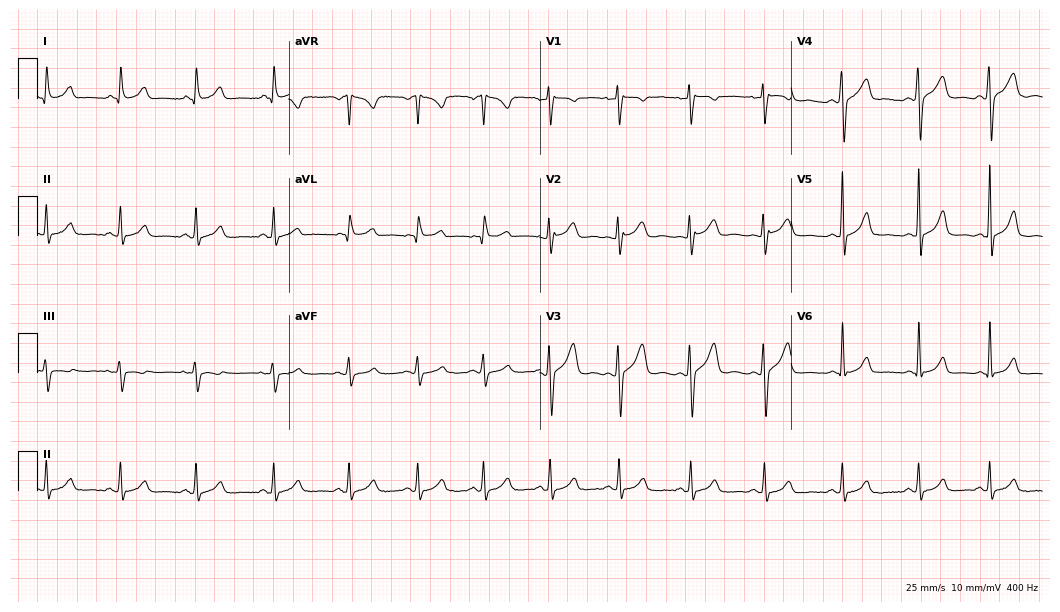
12-lead ECG from a 35-year-old female patient. Recorded interpretation: within normal limits.